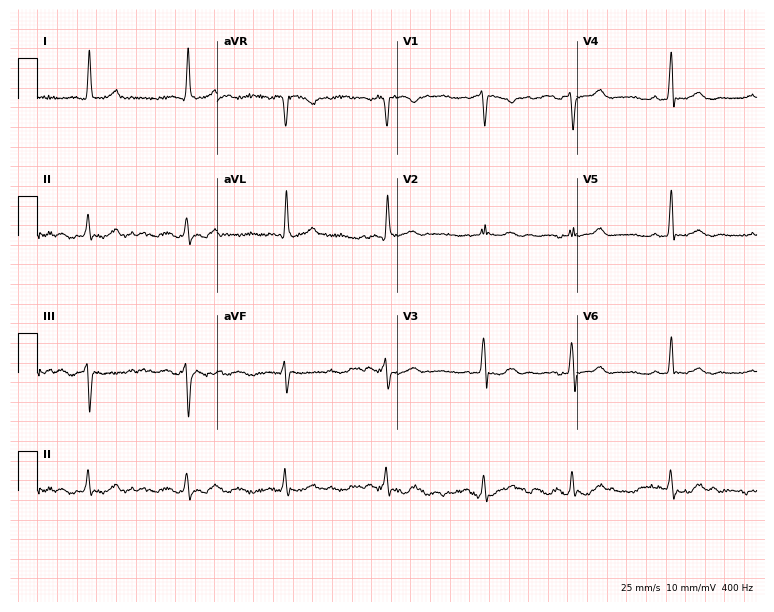
Electrocardiogram, a 77-year-old male patient. Of the six screened findings (first-degree AV block, right bundle branch block, left bundle branch block, sinus bradycardia, atrial fibrillation, sinus tachycardia), none is recorded. Other findings, if any, are not listed.